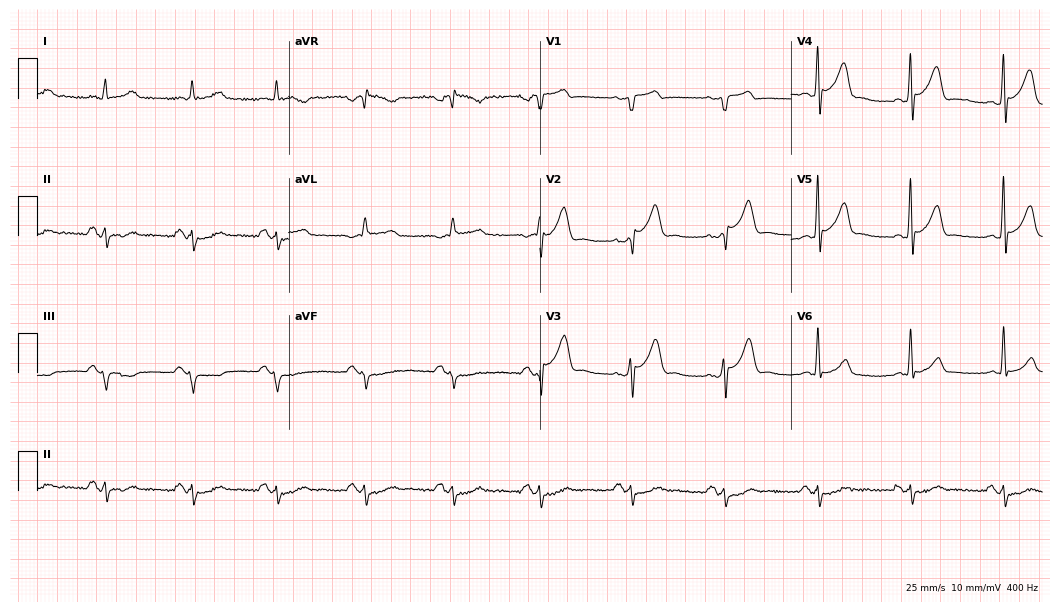
ECG (10.2-second recording at 400 Hz) — a male, 66 years old. Screened for six findings — first-degree AV block, right bundle branch block (RBBB), left bundle branch block (LBBB), sinus bradycardia, atrial fibrillation (AF), sinus tachycardia — none is recorded.